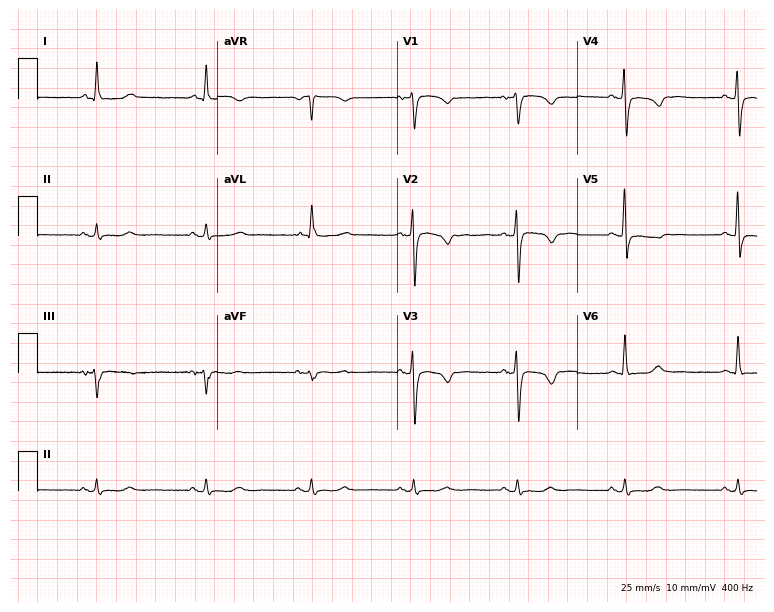
12-lead ECG from a 72-year-old female. No first-degree AV block, right bundle branch block (RBBB), left bundle branch block (LBBB), sinus bradycardia, atrial fibrillation (AF) or sinus tachycardia recorded for this tracing.